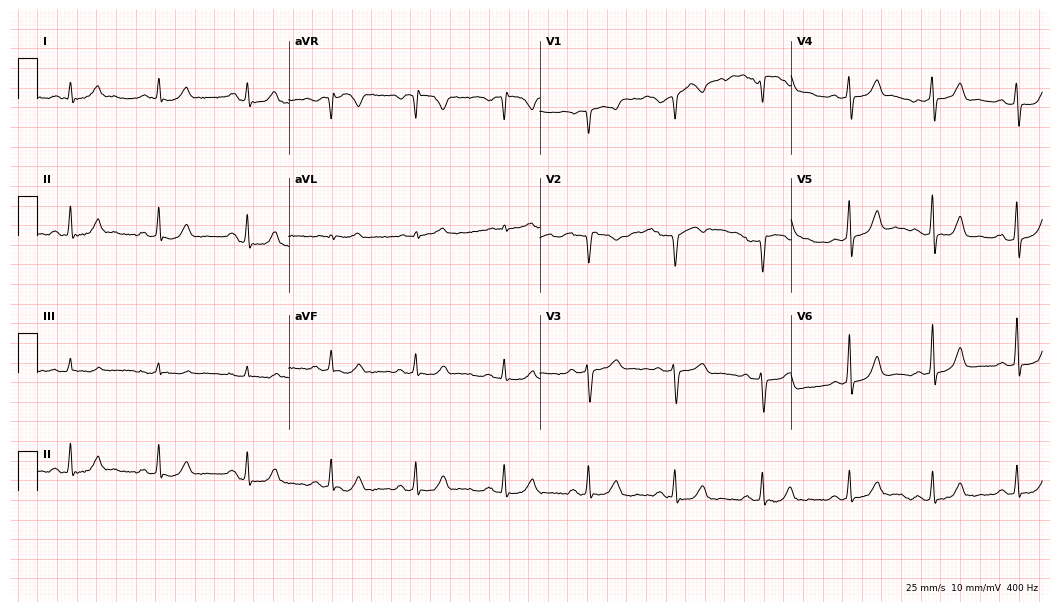
Standard 12-lead ECG recorded from a male, 50 years old (10.2-second recording at 400 Hz). Read as a normal ECG.